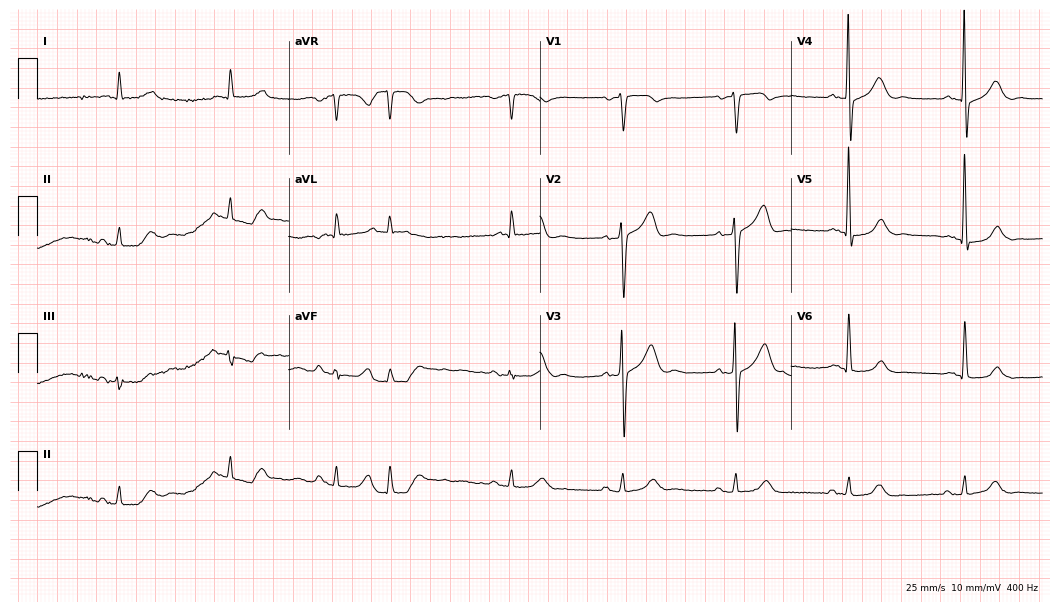
12-lead ECG from an 80-year-old male patient. No first-degree AV block, right bundle branch block, left bundle branch block, sinus bradycardia, atrial fibrillation or sinus tachycardia recorded for this tracing.